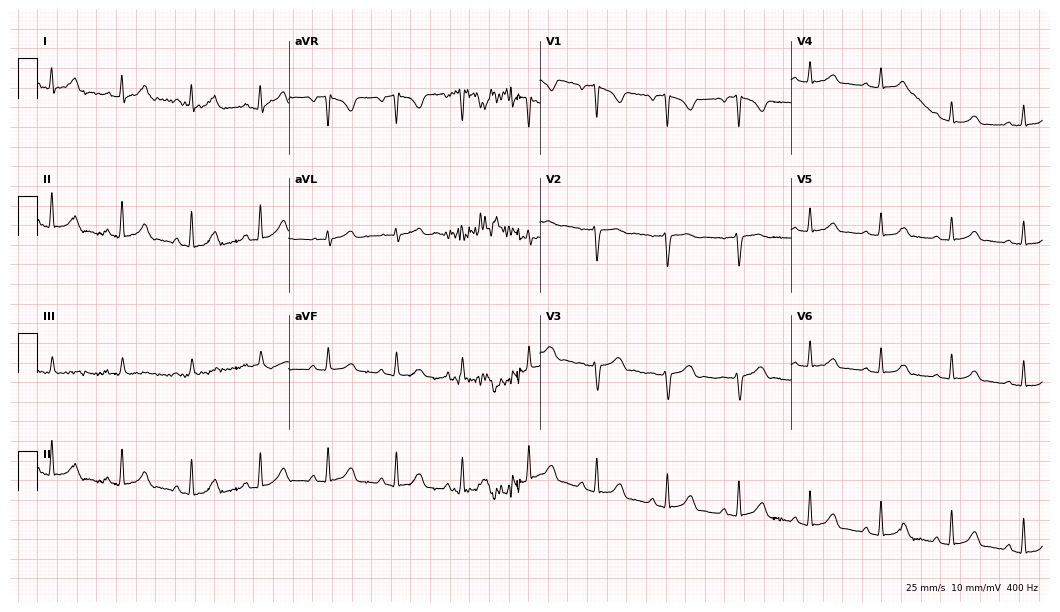
12-lead ECG from a 25-year-old woman (10.2-second recording at 400 Hz). Recorded interpretation: within normal limits.